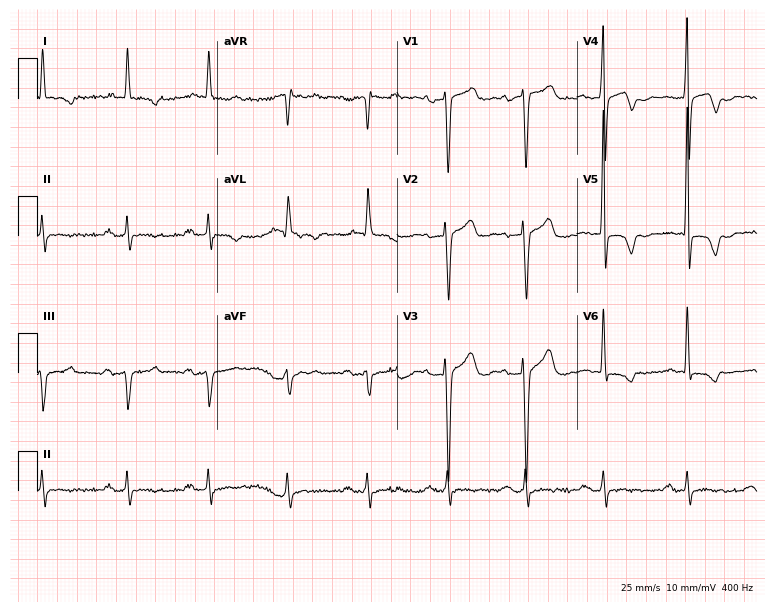
12-lead ECG from a male, 71 years old. No first-degree AV block, right bundle branch block (RBBB), left bundle branch block (LBBB), sinus bradycardia, atrial fibrillation (AF) or sinus tachycardia recorded for this tracing.